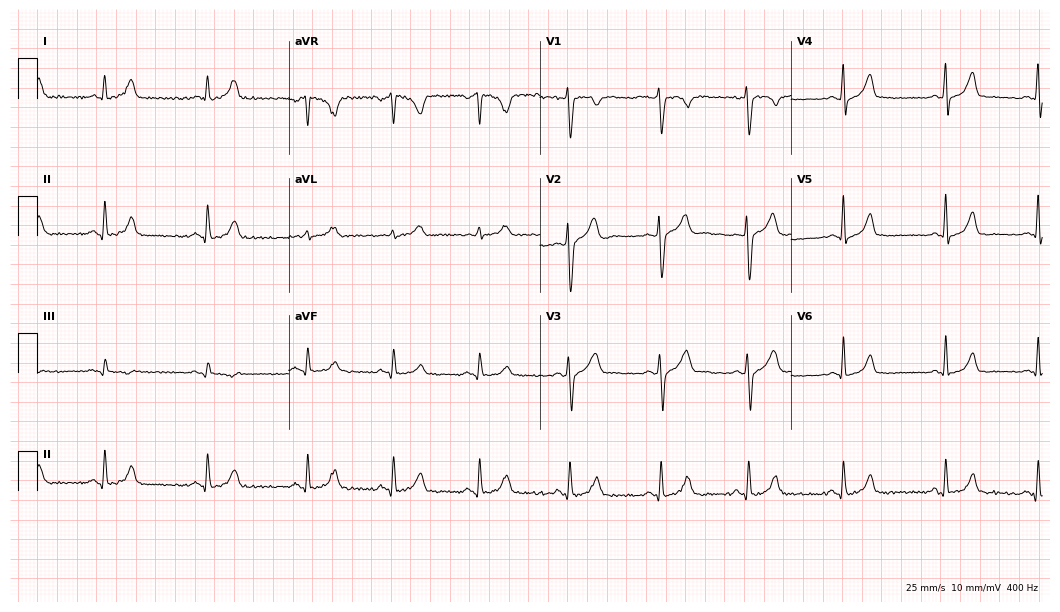
Resting 12-lead electrocardiogram (10.2-second recording at 400 Hz). Patient: a male, 19 years old. Read as a normal ECG.